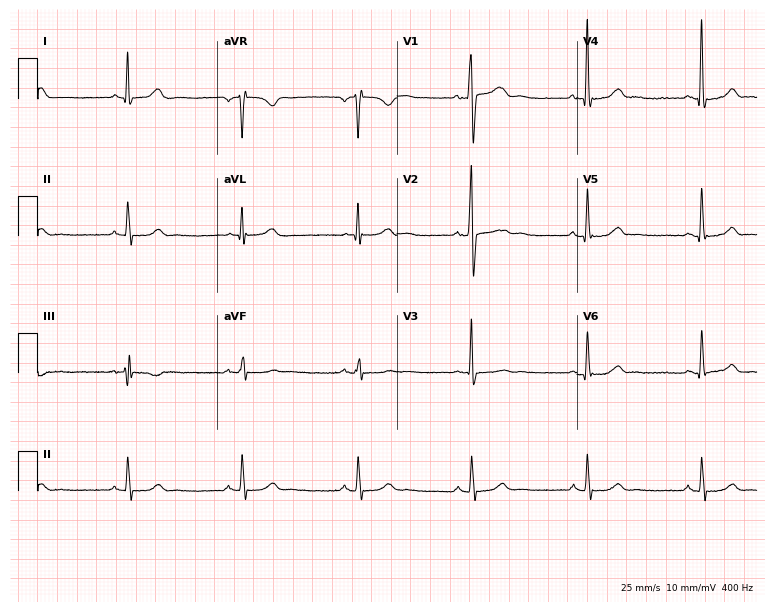
Resting 12-lead electrocardiogram. Patient: a 50-year-old man. None of these six findings is recorded: first-degree AV block, right bundle branch block, left bundle branch block, sinus bradycardia, atrial fibrillation, sinus tachycardia.